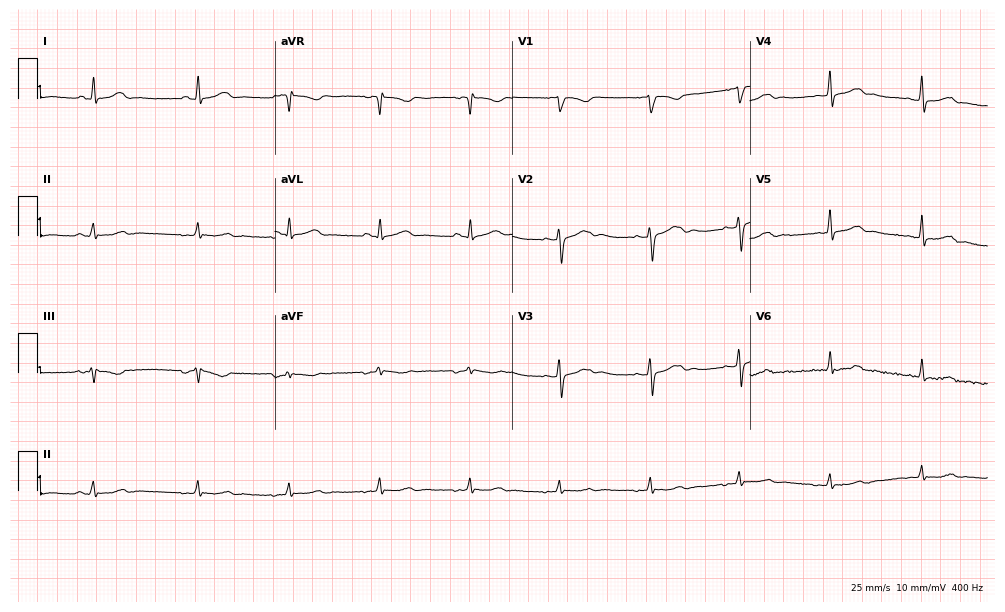
Electrocardiogram (9.7-second recording at 400 Hz), a 20-year-old female. Overall reading on record: normal ECG.